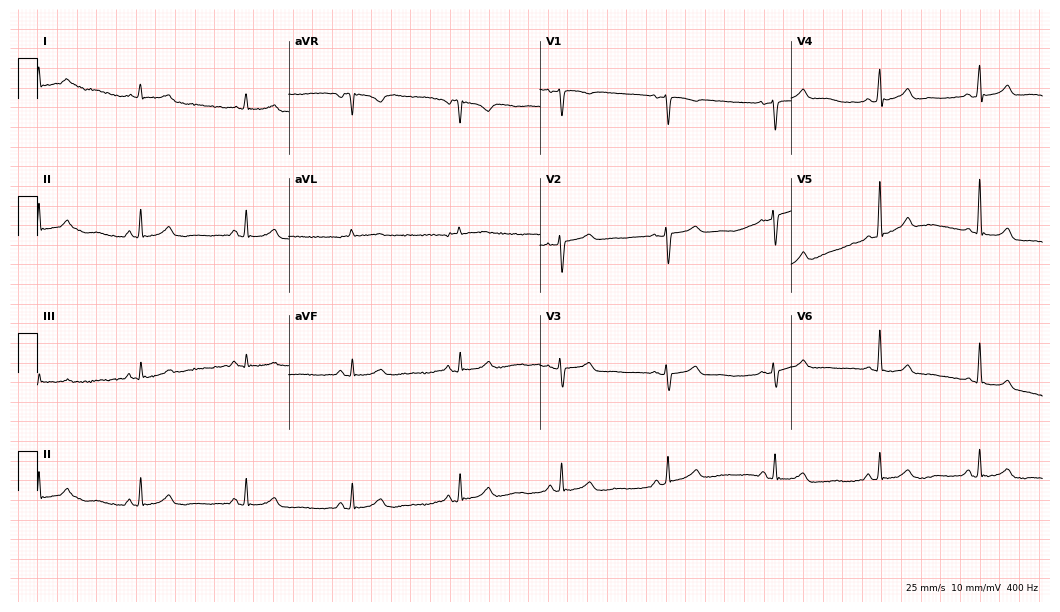
Standard 12-lead ECG recorded from a 49-year-old female. Read as a normal ECG.